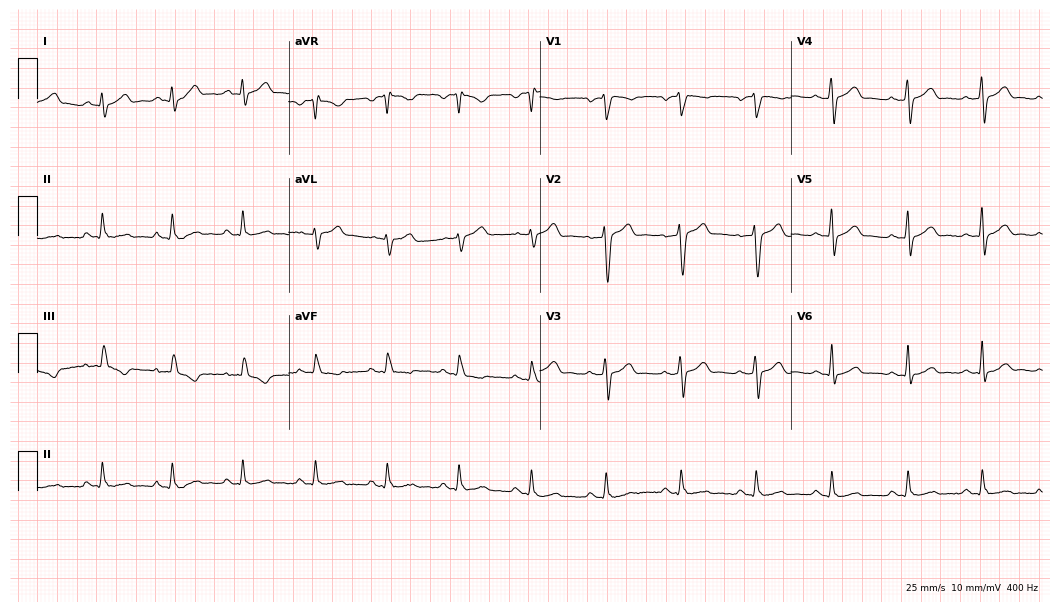
ECG — a 36-year-old male. Labelled as a normal ECG.